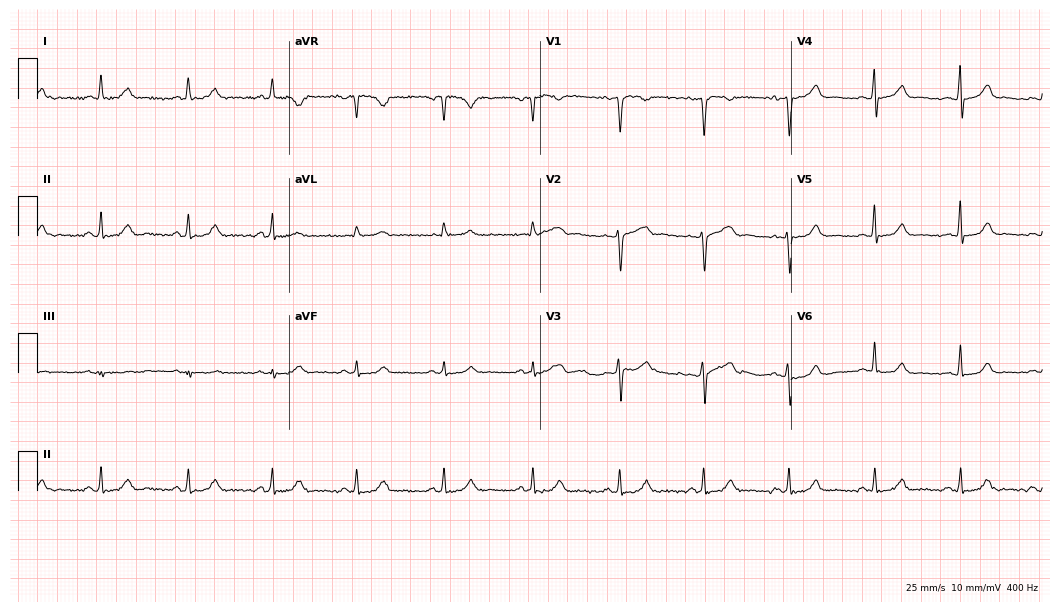
Standard 12-lead ECG recorded from a woman, 51 years old (10.2-second recording at 400 Hz). Read as a normal ECG.